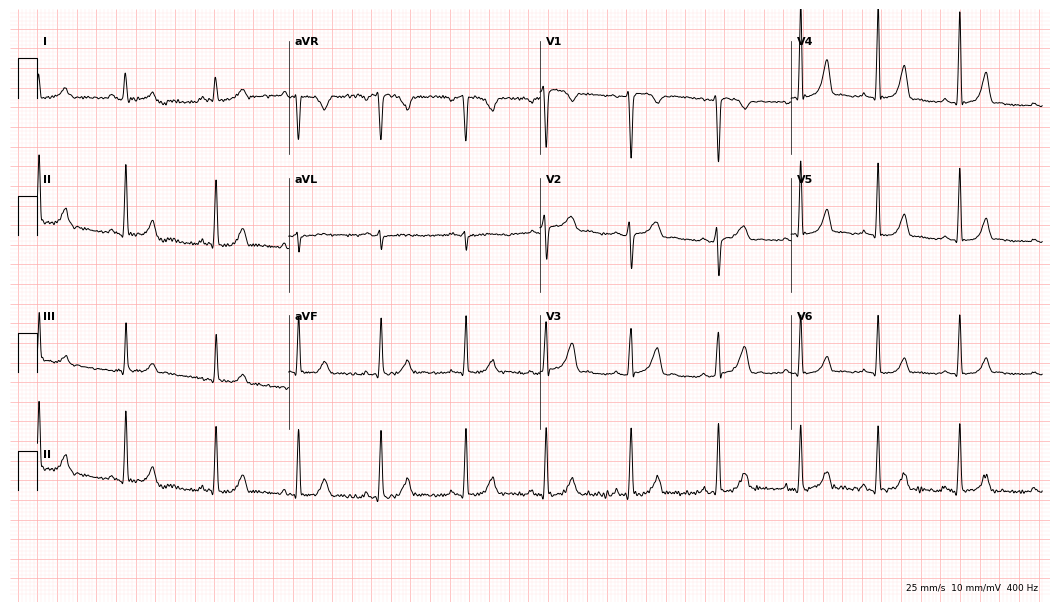
Standard 12-lead ECG recorded from a 20-year-old woman. Read as a normal ECG.